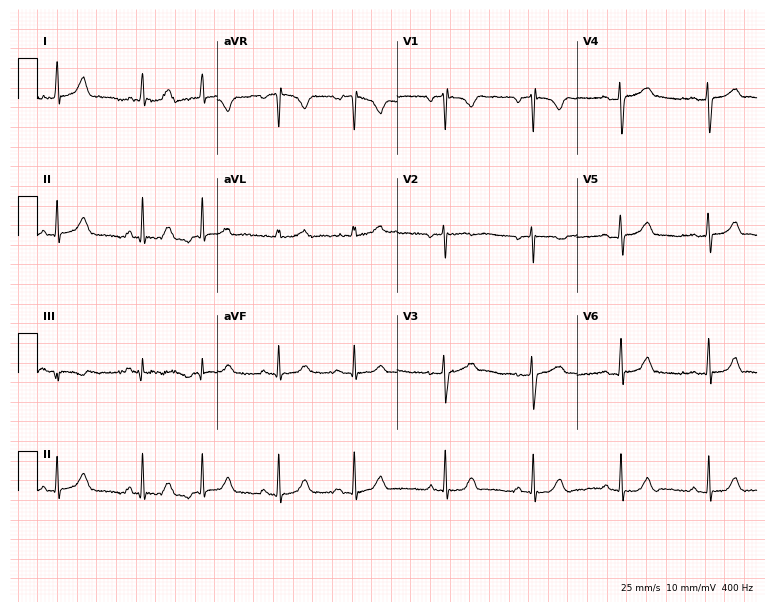
12-lead ECG from a 19-year-old female patient. Recorded interpretation: within normal limits.